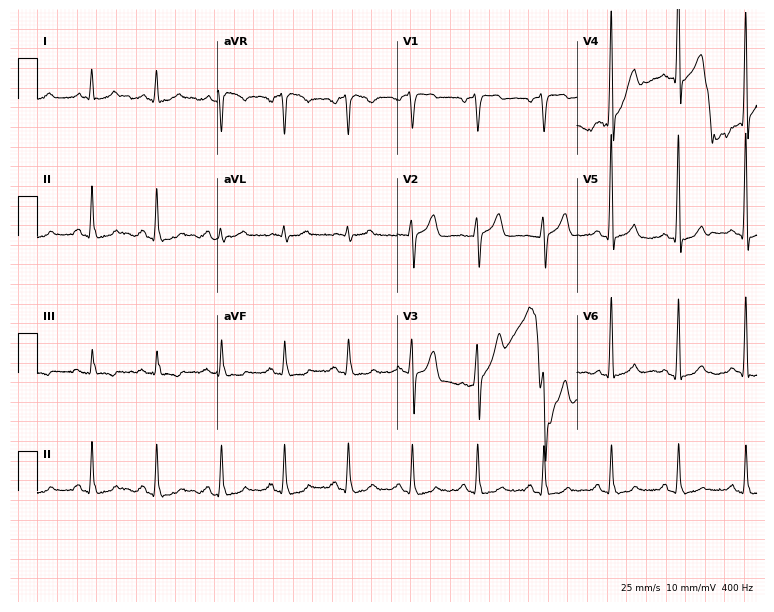
12-lead ECG (7.3-second recording at 400 Hz) from a 79-year-old male. Screened for six findings — first-degree AV block, right bundle branch block (RBBB), left bundle branch block (LBBB), sinus bradycardia, atrial fibrillation (AF), sinus tachycardia — none is recorded.